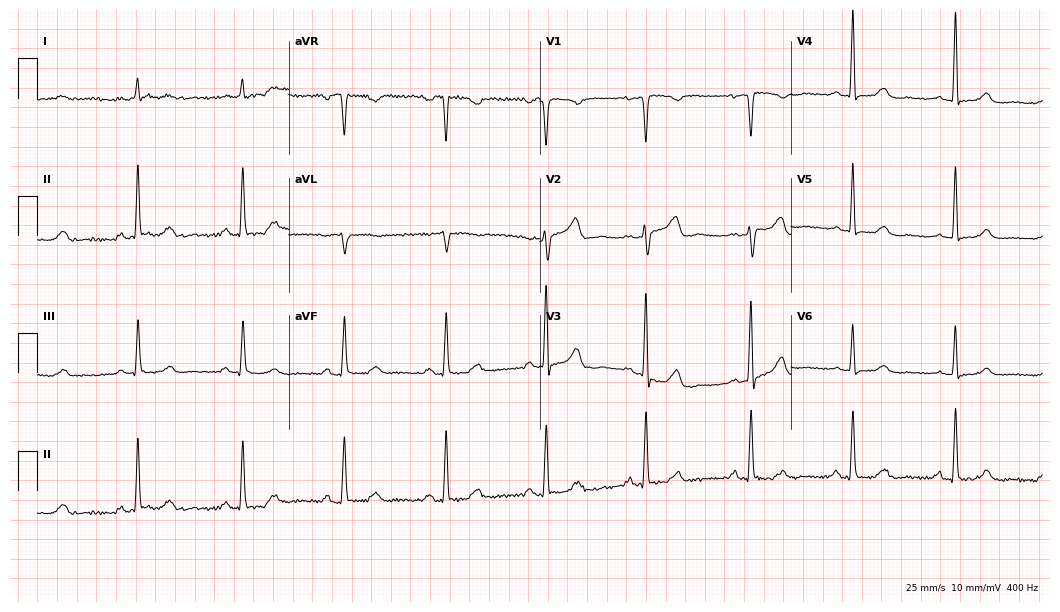
12-lead ECG from a 63-year-old male. Recorded interpretation: within normal limits.